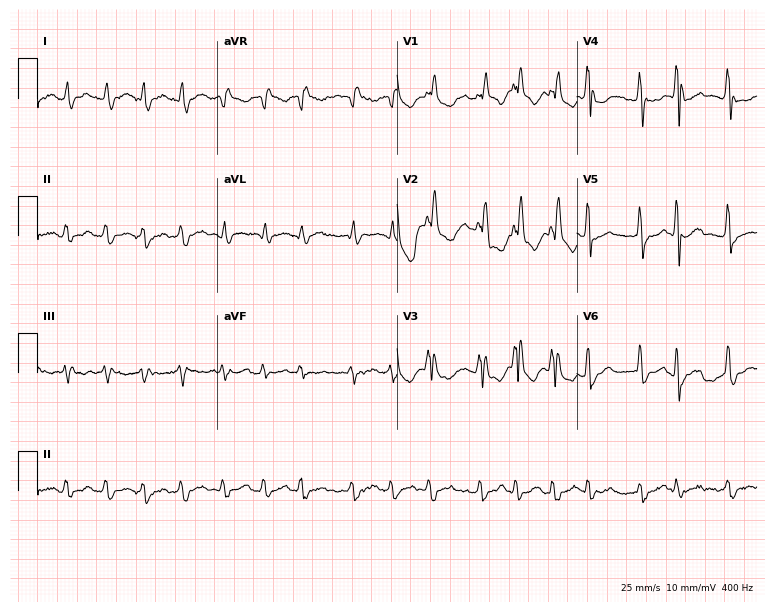
Electrocardiogram (7.3-second recording at 400 Hz), a male patient, 51 years old. Interpretation includes right bundle branch block (RBBB), atrial fibrillation (AF).